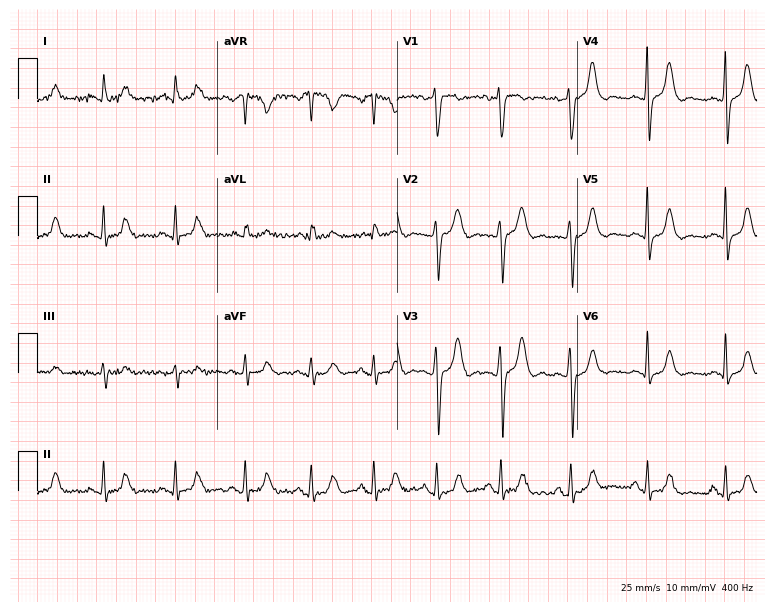
12-lead ECG from a 44-year-old female (7.3-second recording at 400 Hz). Recorded interpretation: within normal limits.